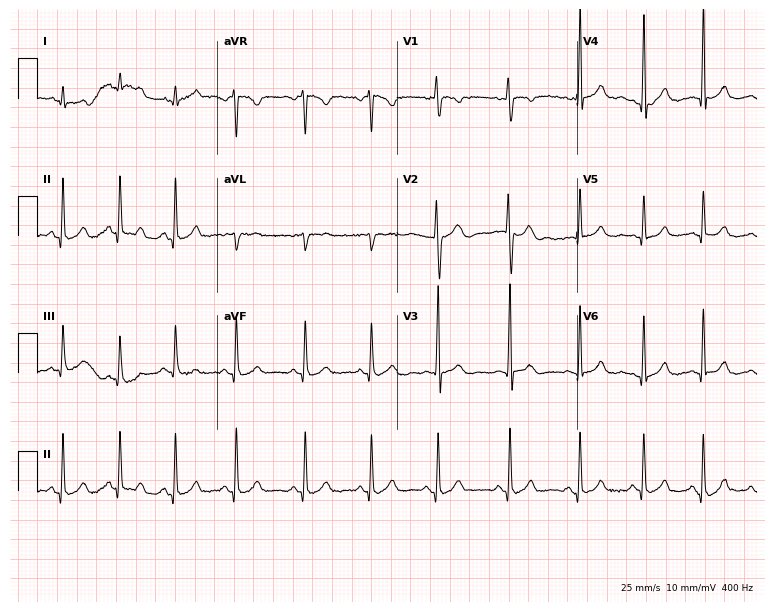
Standard 12-lead ECG recorded from a female patient, 17 years old (7.3-second recording at 400 Hz). None of these six findings is recorded: first-degree AV block, right bundle branch block (RBBB), left bundle branch block (LBBB), sinus bradycardia, atrial fibrillation (AF), sinus tachycardia.